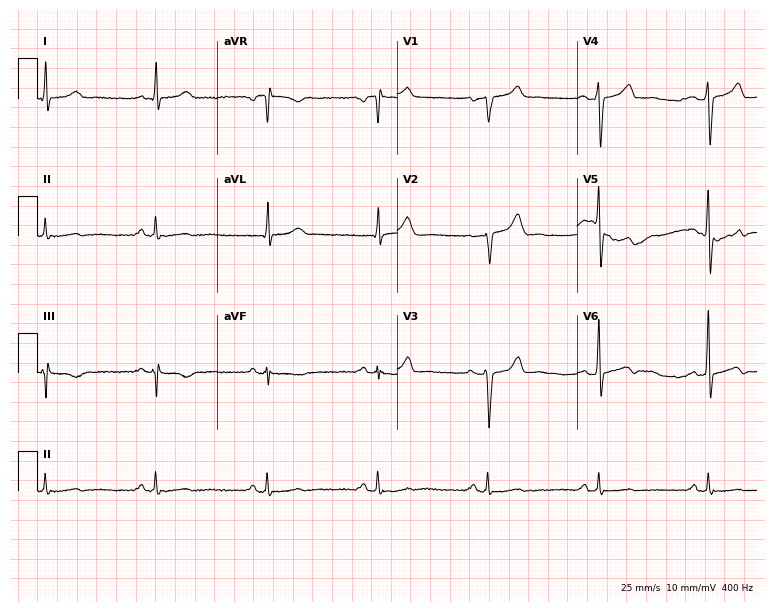
12-lead ECG from a 52-year-old male patient (7.3-second recording at 400 Hz). No first-degree AV block, right bundle branch block, left bundle branch block, sinus bradycardia, atrial fibrillation or sinus tachycardia recorded for this tracing.